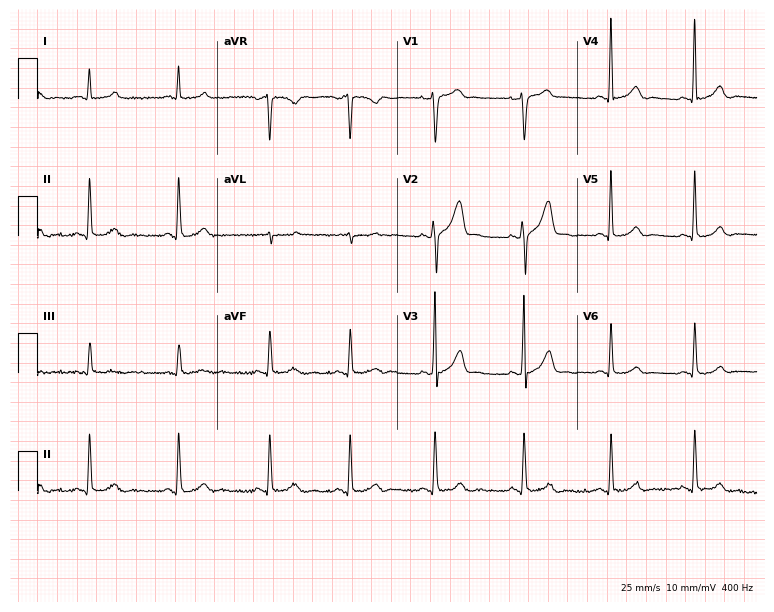
Electrocardiogram, a 35-year-old male patient. Overall reading on record: normal ECG.